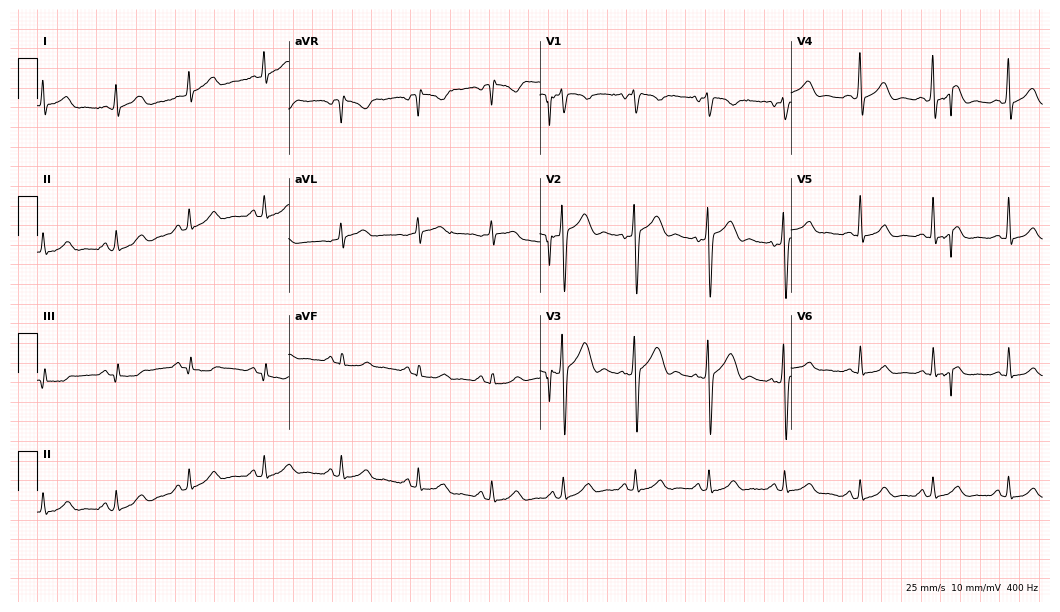
12-lead ECG from a 31-year-old male patient. Screened for six findings — first-degree AV block, right bundle branch block, left bundle branch block, sinus bradycardia, atrial fibrillation, sinus tachycardia — none is recorded.